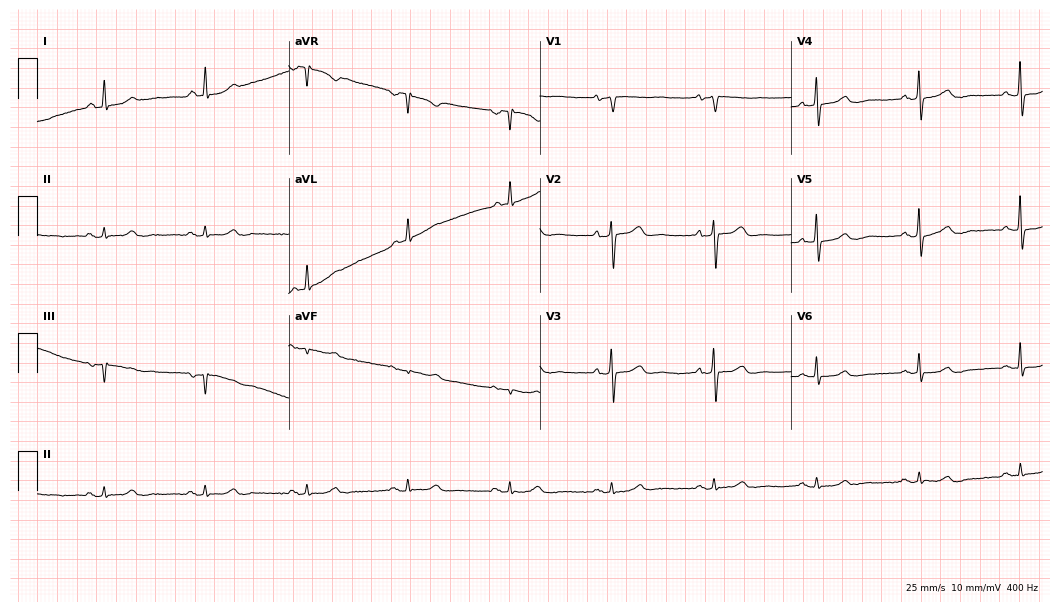
Standard 12-lead ECG recorded from an 82-year-old male. Read as a normal ECG.